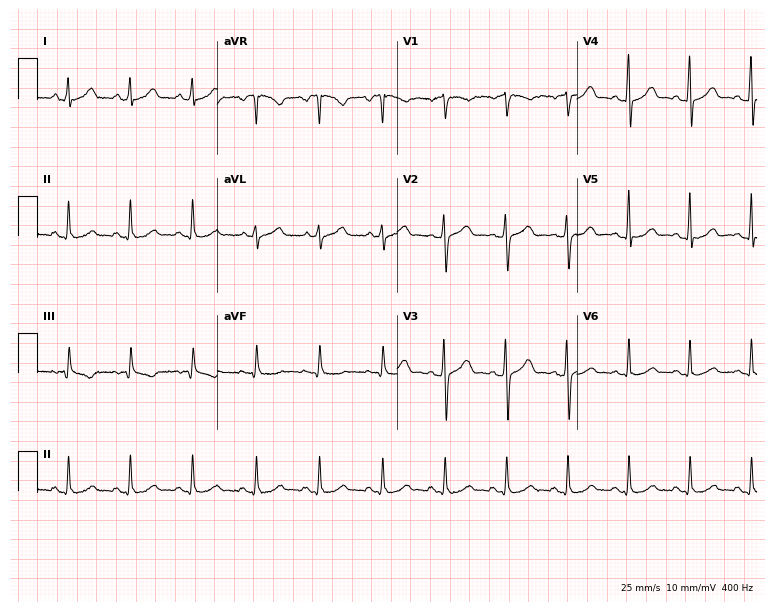
Standard 12-lead ECG recorded from a woman, 33 years old. None of these six findings is recorded: first-degree AV block, right bundle branch block, left bundle branch block, sinus bradycardia, atrial fibrillation, sinus tachycardia.